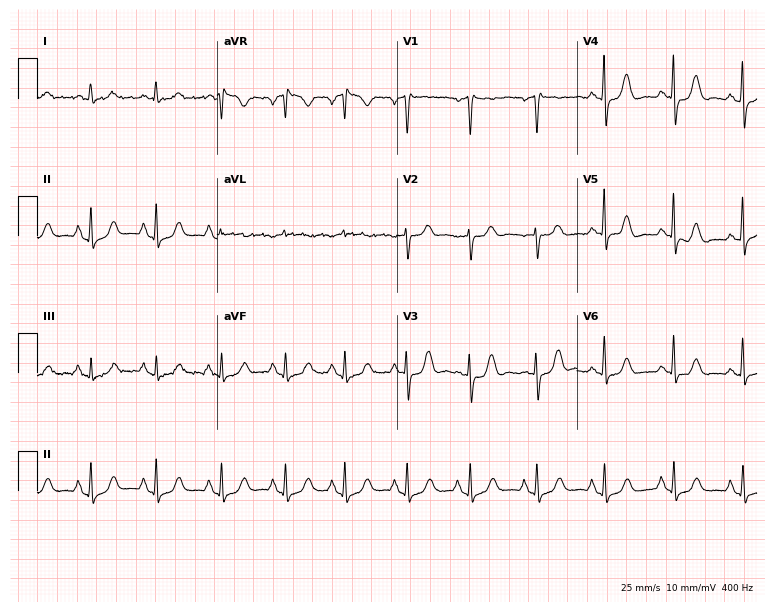
Electrocardiogram, a 52-year-old woman. Overall reading on record: normal ECG.